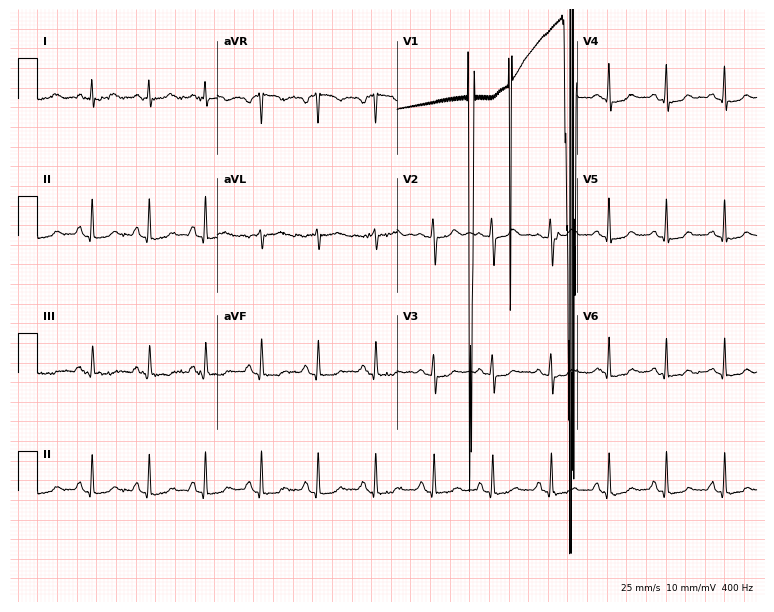
ECG (7.3-second recording at 400 Hz) — a female patient, 37 years old. Screened for six findings — first-degree AV block, right bundle branch block, left bundle branch block, sinus bradycardia, atrial fibrillation, sinus tachycardia — none is recorded.